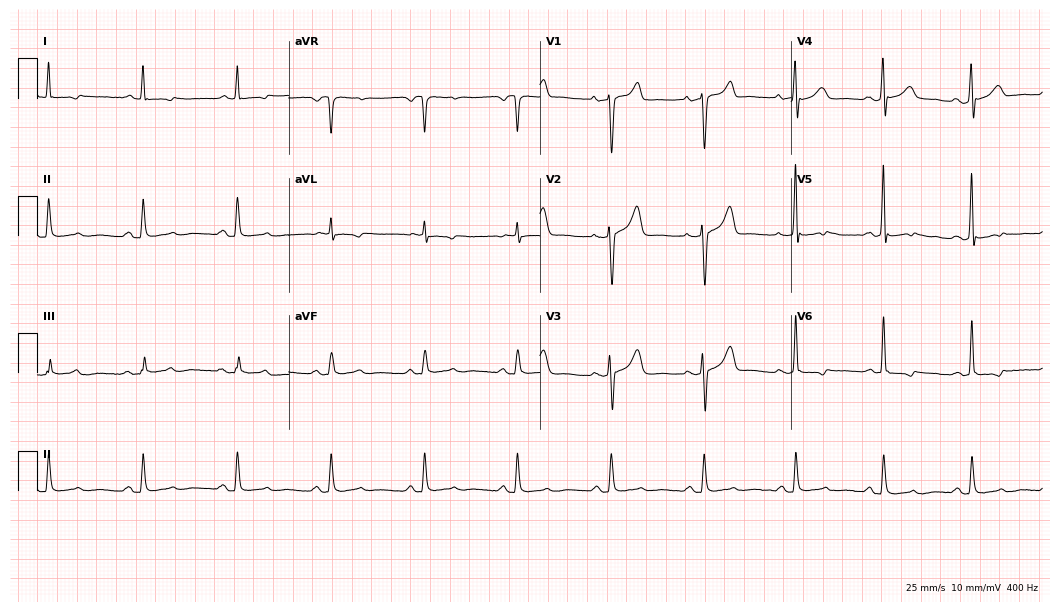
Electrocardiogram, a man, 66 years old. Of the six screened findings (first-degree AV block, right bundle branch block, left bundle branch block, sinus bradycardia, atrial fibrillation, sinus tachycardia), none is recorded. Other findings, if any, are not listed.